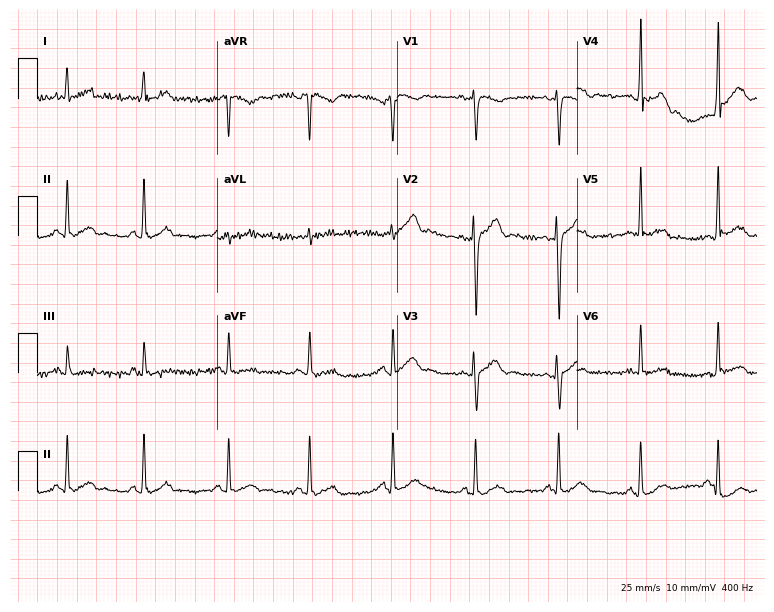
Standard 12-lead ECG recorded from a 25-year-old man (7.3-second recording at 400 Hz). Read as a normal ECG.